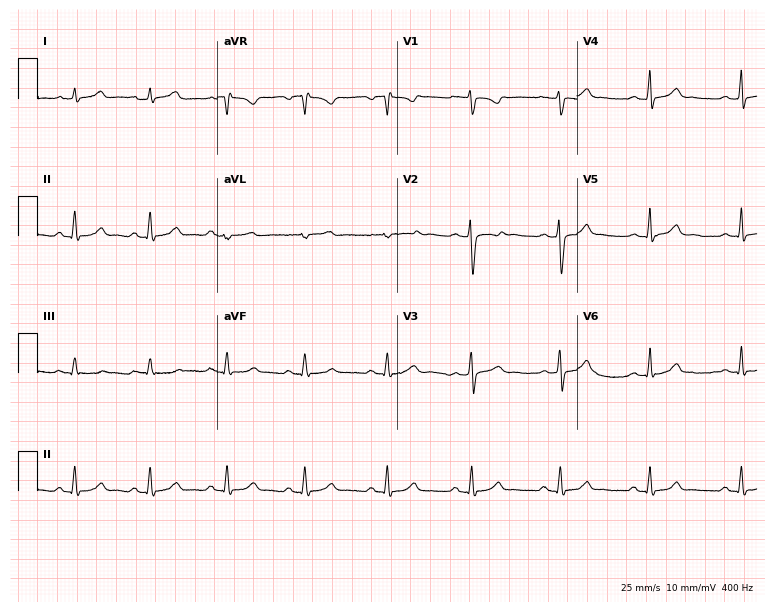
12-lead ECG (7.3-second recording at 400 Hz) from a 20-year-old woman. Screened for six findings — first-degree AV block, right bundle branch block, left bundle branch block, sinus bradycardia, atrial fibrillation, sinus tachycardia — none is recorded. Findings outside these six are not listed.